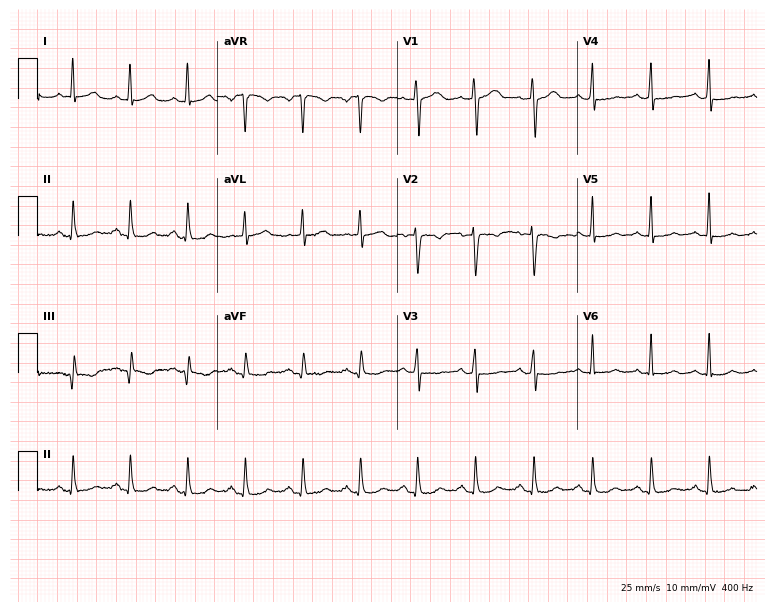
Resting 12-lead electrocardiogram (7.3-second recording at 400 Hz). Patient: a female, 42 years old. The tracing shows sinus tachycardia (a sinus rate of 100 beats per minute or more).